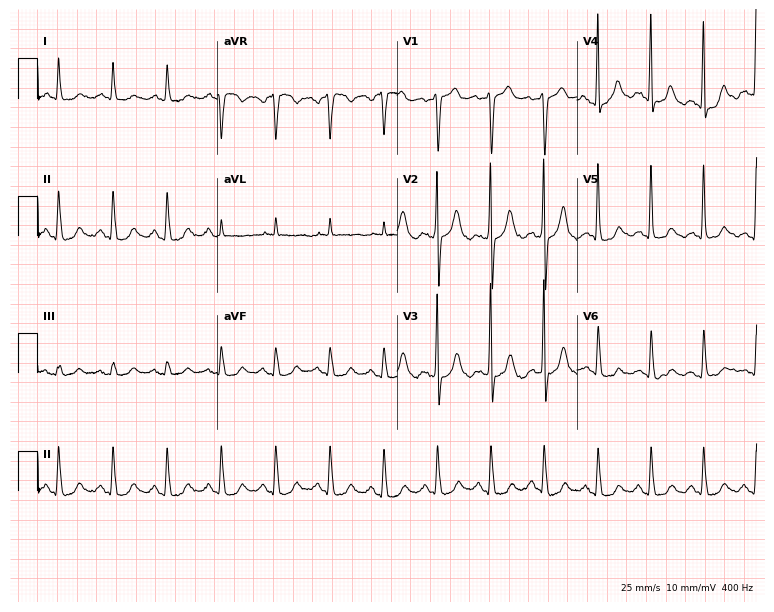
ECG (7.3-second recording at 400 Hz) — a male patient, 60 years old. Findings include sinus tachycardia (a sinus rate of 100 beats per minute or more).